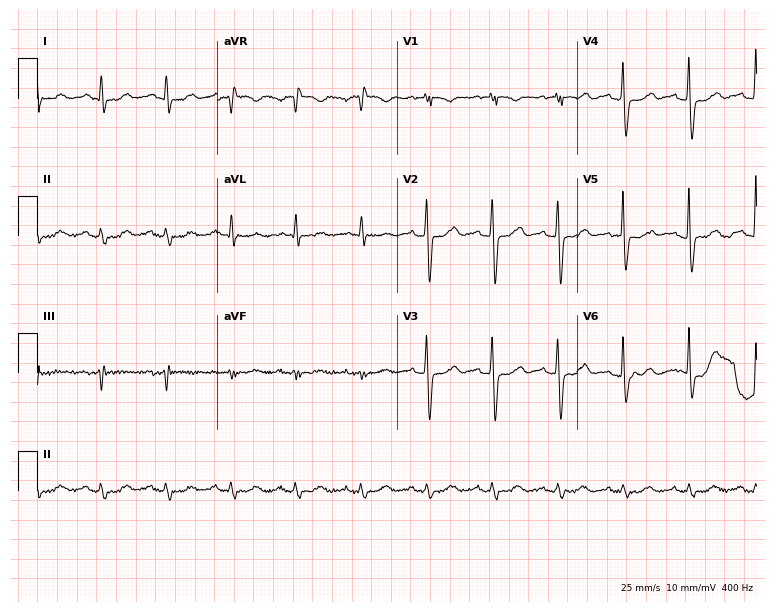
12-lead ECG (7.3-second recording at 400 Hz) from a 77-year-old female. Screened for six findings — first-degree AV block, right bundle branch block, left bundle branch block, sinus bradycardia, atrial fibrillation, sinus tachycardia — none is recorded. Only these six findings were labelled.